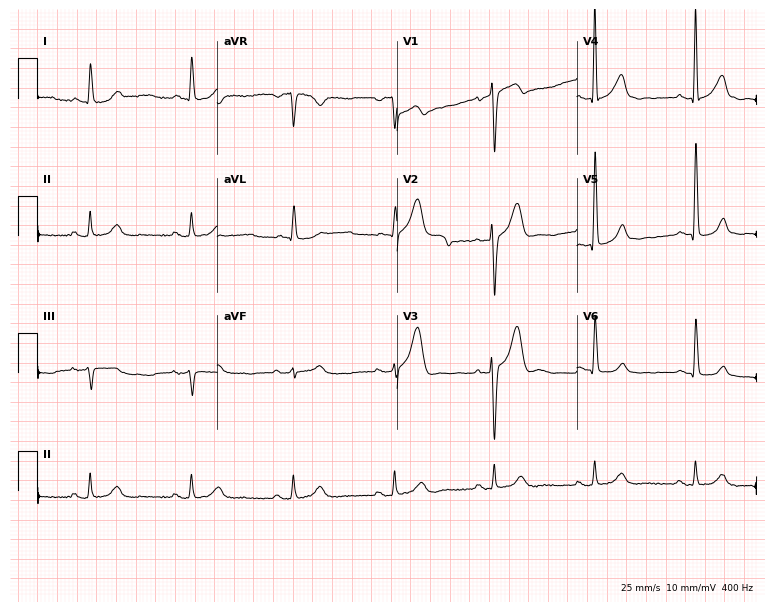
12-lead ECG from a man, 70 years old. Screened for six findings — first-degree AV block, right bundle branch block, left bundle branch block, sinus bradycardia, atrial fibrillation, sinus tachycardia — none is recorded.